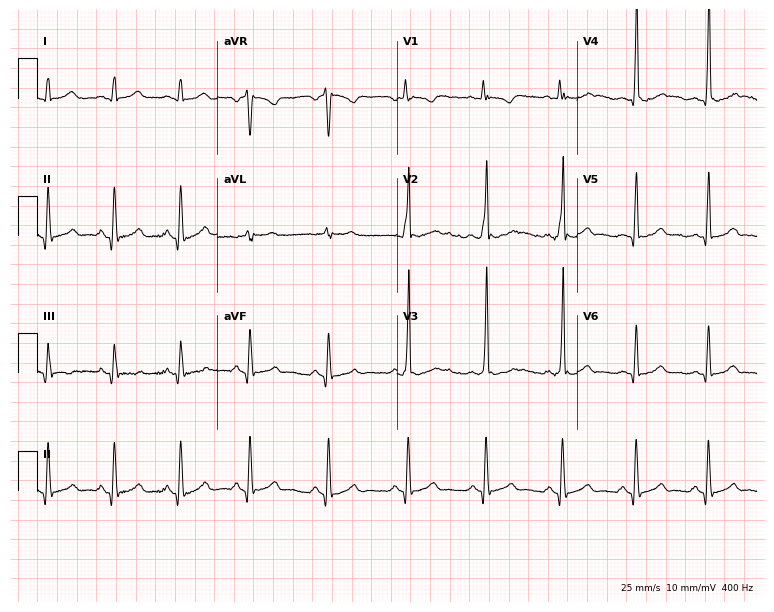
Electrocardiogram (7.3-second recording at 400 Hz), a man, 40 years old. Of the six screened findings (first-degree AV block, right bundle branch block, left bundle branch block, sinus bradycardia, atrial fibrillation, sinus tachycardia), none is recorded. Findings outside these six are not listed.